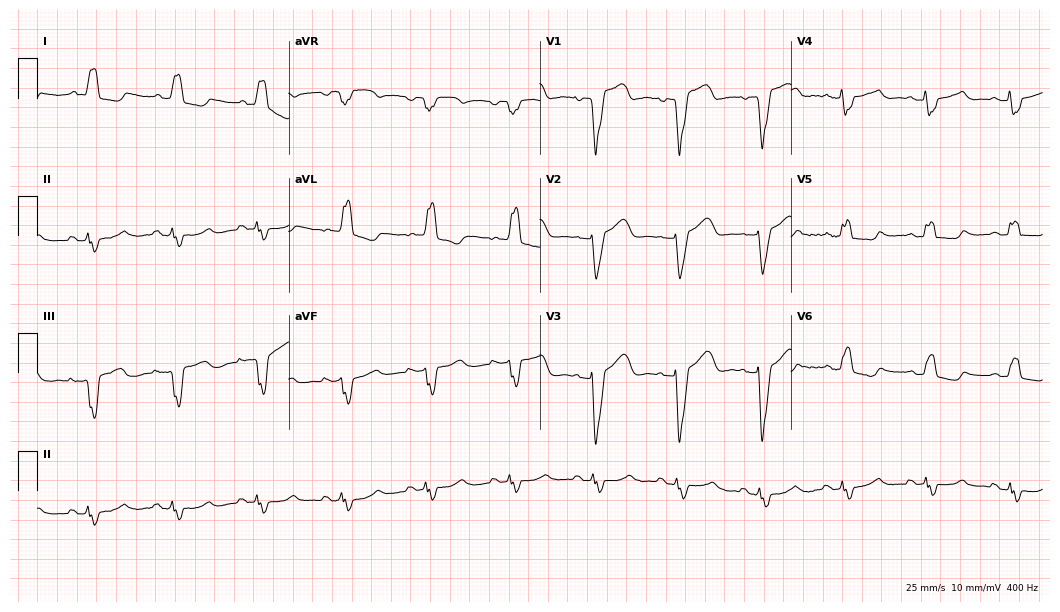
12-lead ECG (10.2-second recording at 400 Hz) from an 80-year-old female. Screened for six findings — first-degree AV block, right bundle branch block (RBBB), left bundle branch block (LBBB), sinus bradycardia, atrial fibrillation (AF), sinus tachycardia — none is recorded. Only these six findings were labelled.